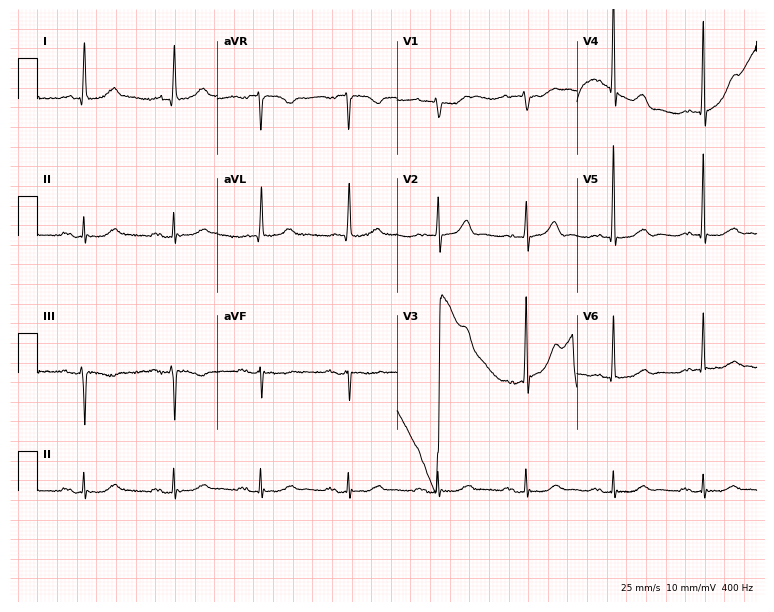
ECG (7.3-second recording at 400 Hz) — an 82-year-old female patient. Screened for six findings — first-degree AV block, right bundle branch block, left bundle branch block, sinus bradycardia, atrial fibrillation, sinus tachycardia — none is recorded.